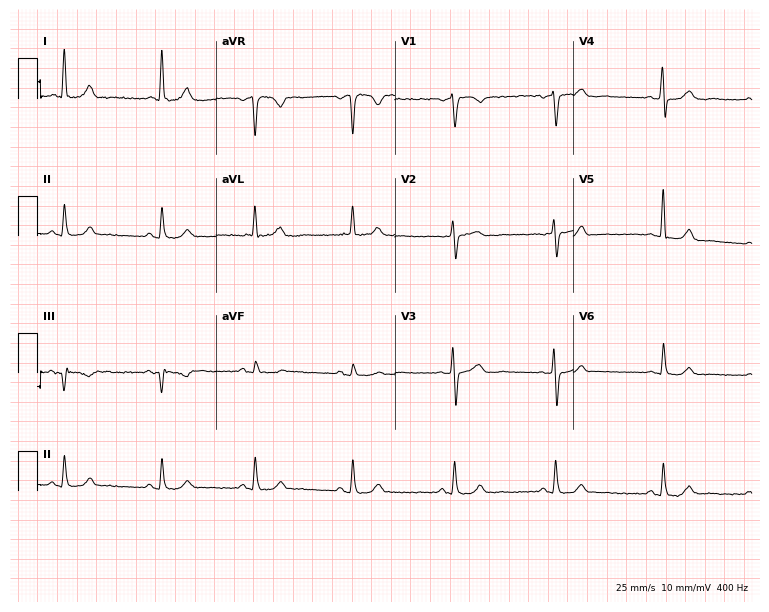
12-lead ECG from a woman, 55 years old. Recorded interpretation: within normal limits.